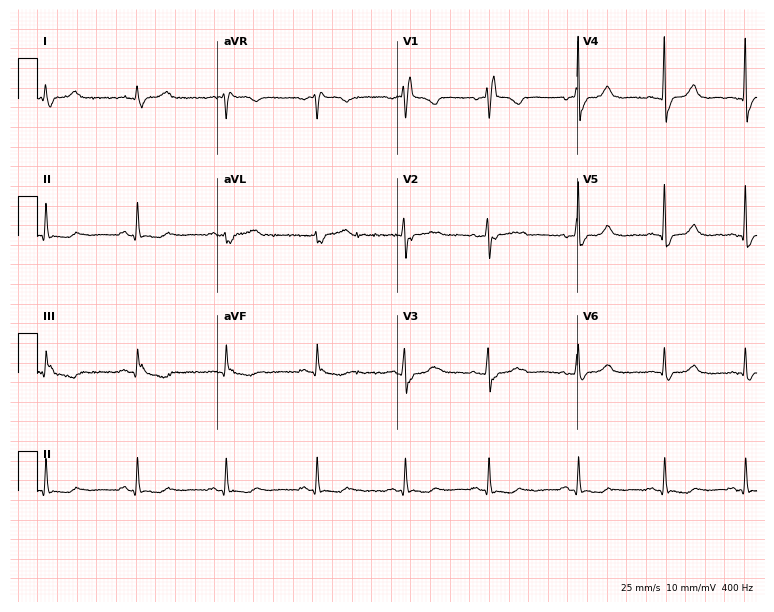
Standard 12-lead ECG recorded from a female, 55 years old (7.3-second recording at 400 Hz). The tracing shows right bundle branch block (RBBB).